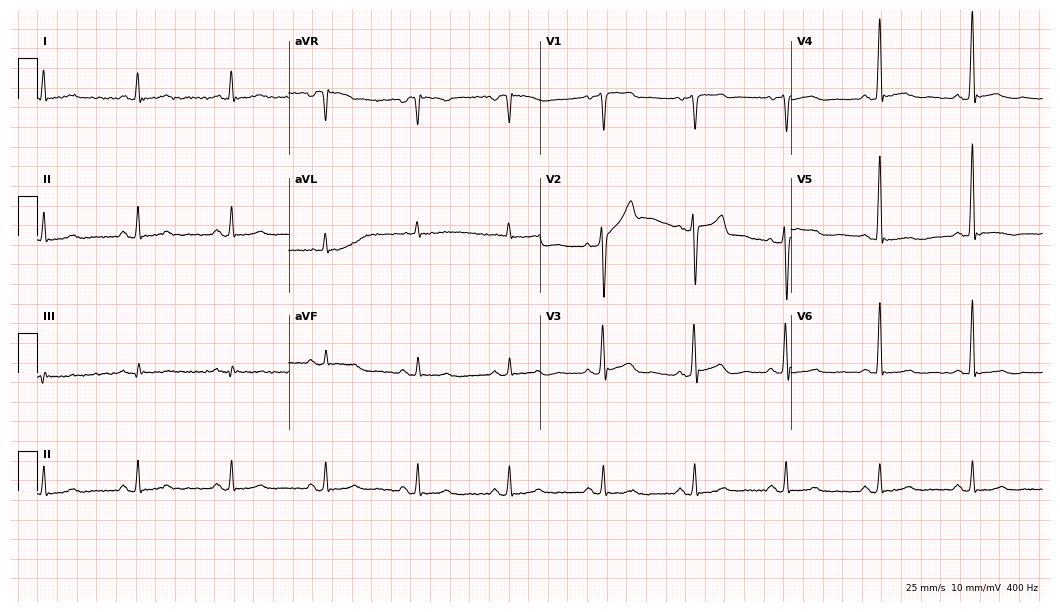
12-lead ECG (10.2-second recording at 400 Hz) from a man, 78 years old. Screened for six findings — first-degree AV block, right bundle branch block, left bundle branch block, sinus bradycardia, atrial fibrillation, sinus tachycardia — none is recorded.